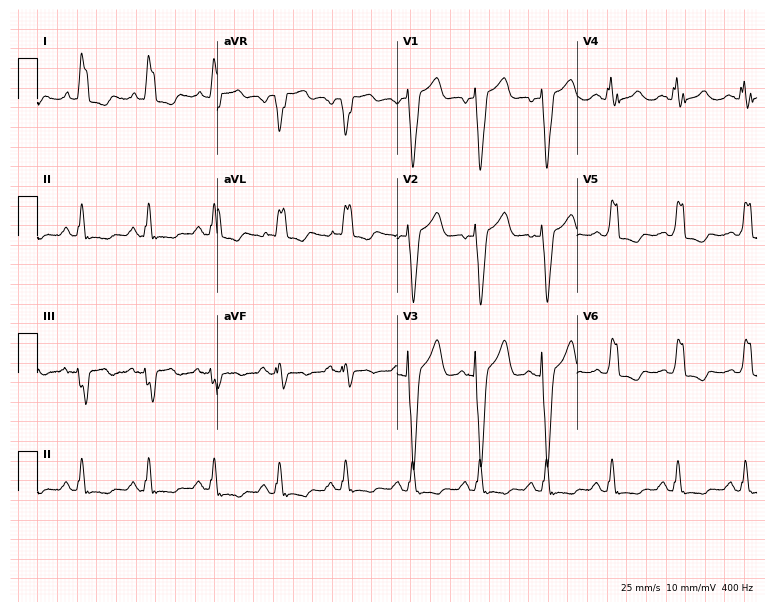
12-lead ECG from a female, 50 years old. Findings include left bundle branch block (LBBB).